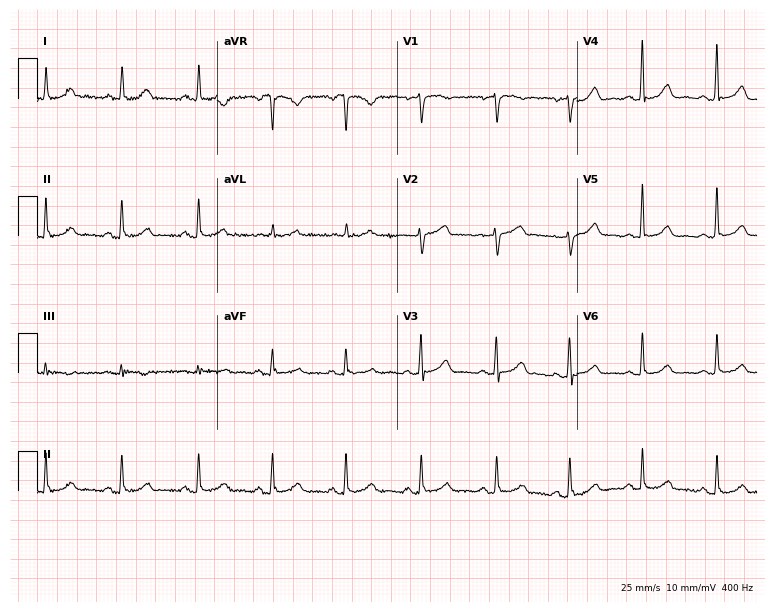
ECG (7.3-second recording at 400 Hz) — a woman, 59 years old. Labelled as a normal ECG.